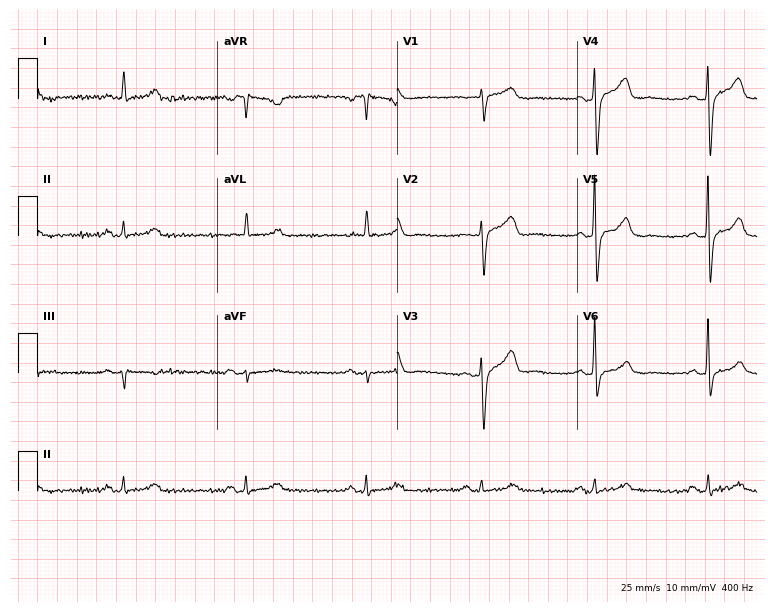
12-lead ECG from a male patient, 65 years old (7.3-second recording at 400 Hz). Shows sinus bradycardia (a sinus rate of 50 beats per minute or less).